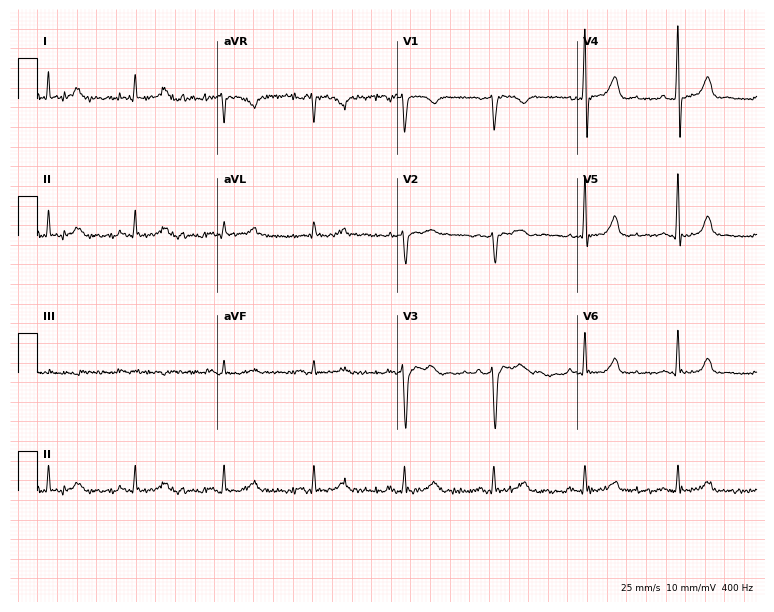
Standard 12-lead ECG recorded from a male patient, 52 years old. None of these six findings is recorded: first-degree AV block, right bundle branch block (RBBB), left bundle branch block (LBBB), sinus bradycardia, atrial fibrillation (AF), sinus tachycardia.